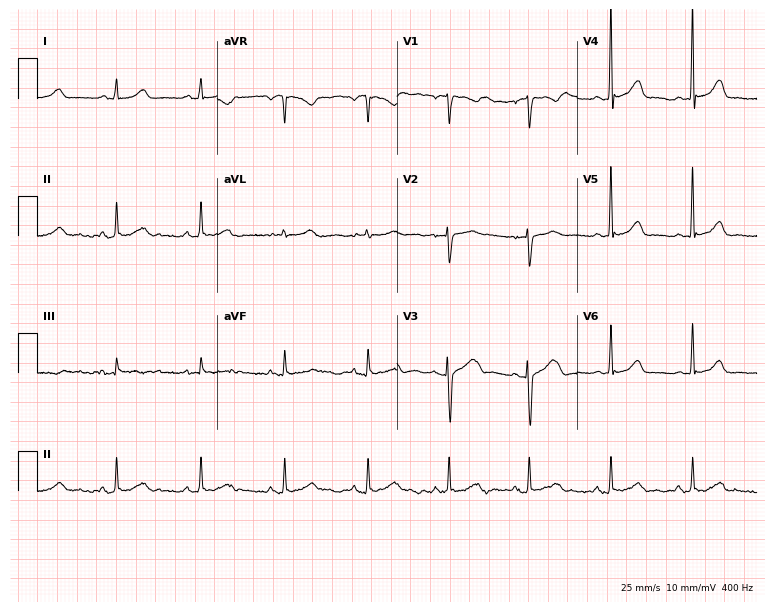
ECG — a 19-year-old woman. Labelled as a normal ECG.